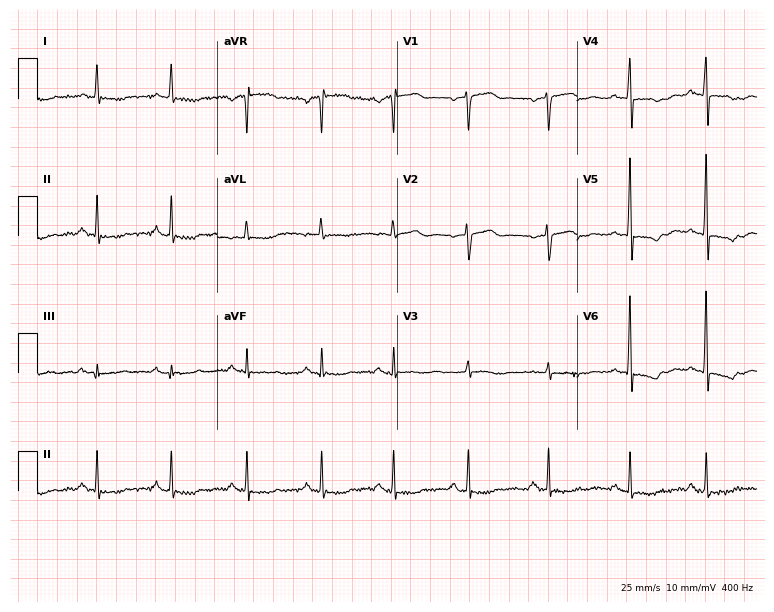
12-lead ECG from a female, 55 years old. No first-degree AV block, right bundle branch block, left bundle branch block, sinus bradycardia, atrial fibrillation or sinus tachycardia recorded for this tracing. Other findings, if any, are not listed.